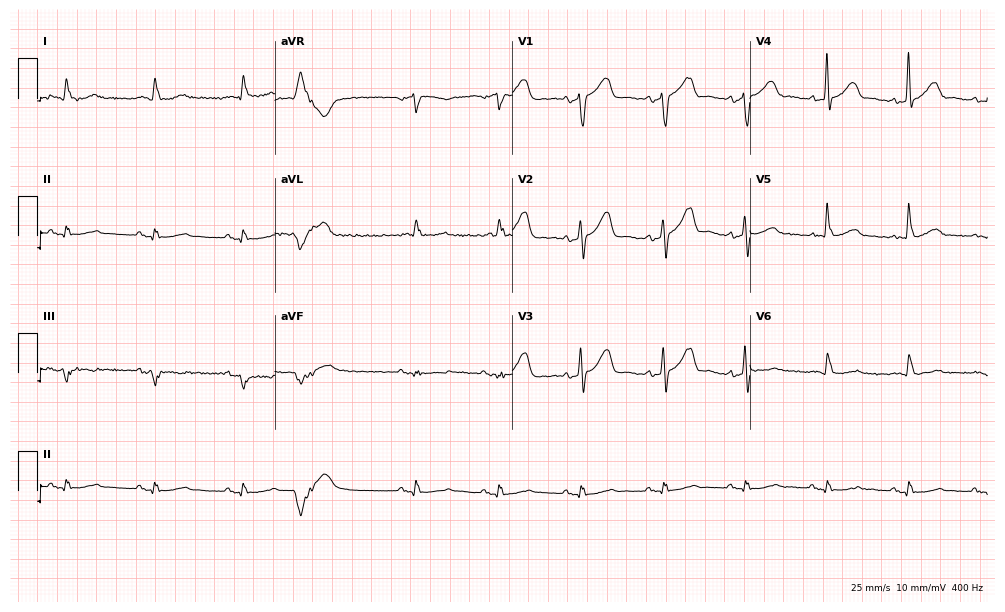
12-lead ECG from a 66-year-old male (9.7-second recording at 400 Hz). No first-degree AV block, right bundle branch block (RBBB), left bundle branch block (LBBB), sinus bradycardia, atrial fibrillation (AF) or sinus tachycardia recorded for this tracing.